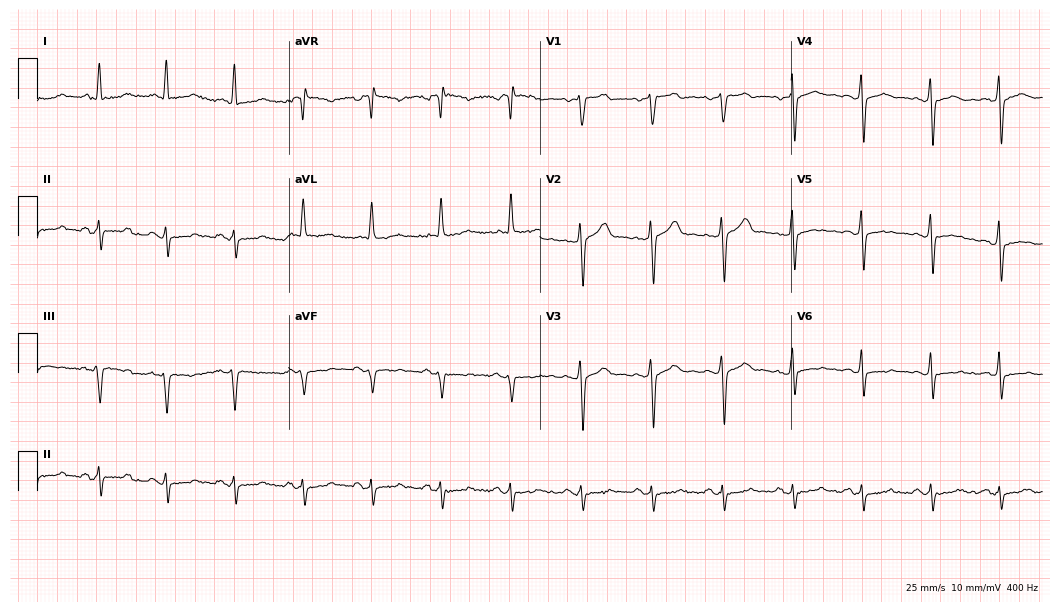
Standard 12-lead ECG recorded from a 52-year-old male. None of these six findings is recorded: first-degree AV block, right bundle branch block, left bundle branch block, sinus bradycardia, atrial fibrillation, sinus tachycardia.